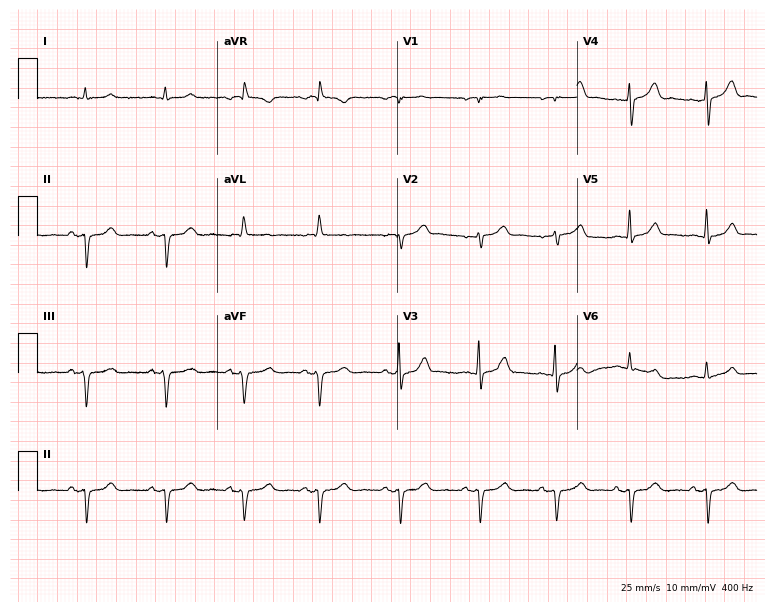
ECG (7.3-second recording at 400 Hz) — a 70-year-old male patient. Screened for six findings — first-degree AV block, right bundle branch block, left bundle branch block, sinus bradycardia, atrial fibrillation, sinus tachycardia — none is recorded.